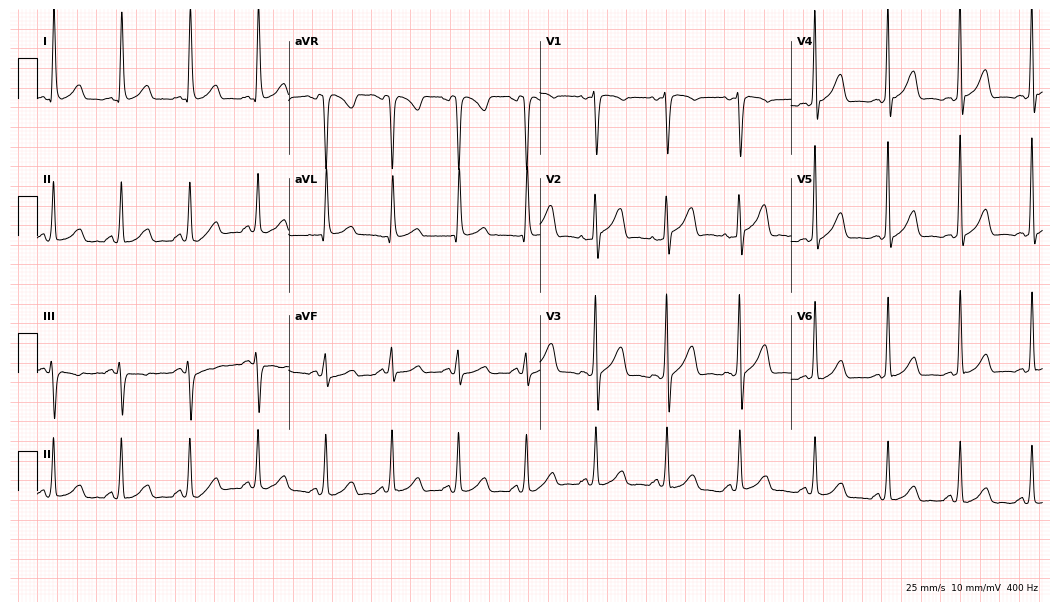
12-lead ECG from a female patient, 39 years old (10.2-second recording at 400 Hz). No first-degree AV block, right bundle branch block (RBBB), left bundle branch block (LBBB), sinus bradycardia, atrial fibrillation (AF) or sinus tachycardia recorded for this tracing. Findings outside these six are not listed.